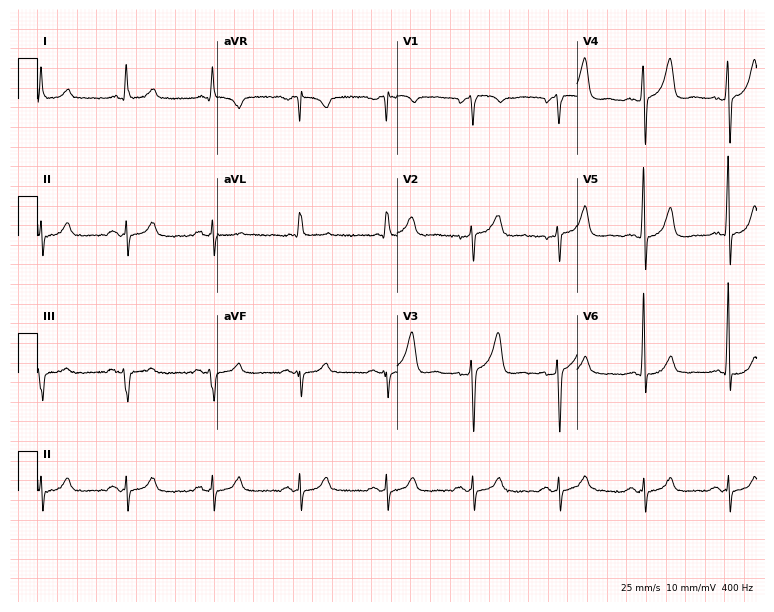
12-lead ECG from a 77-year-old man (7.3-second recording at 400 Hz). No first-degree AV block, right bundle branch block (RBBB), left bundle branch block (LBBB), sinus bradycardia, atrial fibrillation (AF) or sinus tachycardia recorded for this tracing. Other findings, if any, are not listed.